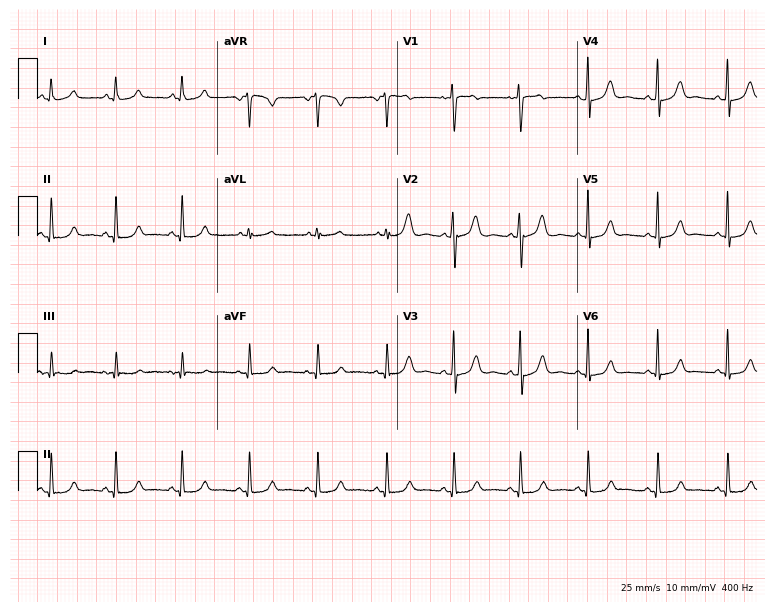
Standard 12-lead ECG recorded from a female patient, 39 years old. None of these six findings is recorded: first-degree AV block, right bundle branch block, left bundle branch block, sinus bradycardia, atrial fibrillation, sinus tachycardia.